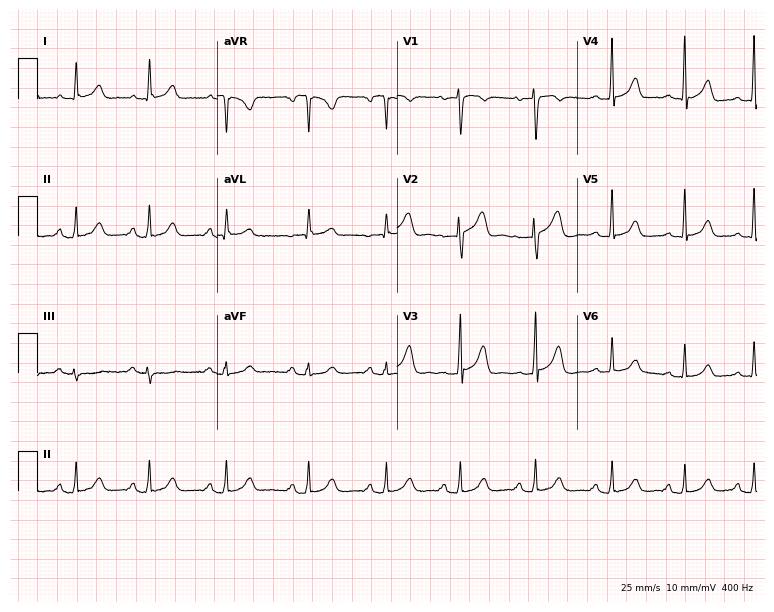
Electrocardiogram, a 34-year-old woman. Of the six screened findings (first-degree AV block, right bundle branch block, left bundle branch block, sinus bradycardia, atrial fibrillation, sinus tachycardia), none is recorded.